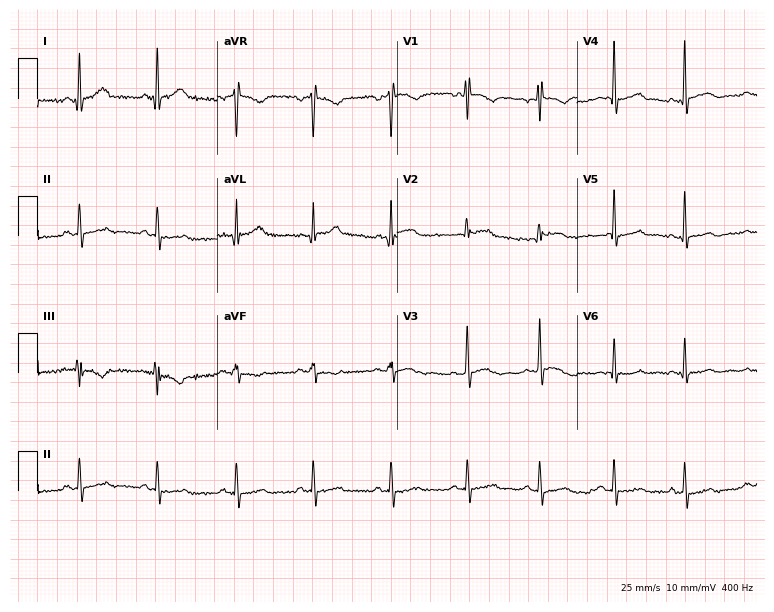
Resting 12-lead electrocardiogram (7.3-second recording at 400 Hz). Patient: a 42-year-old male. Read as a normal ECG.